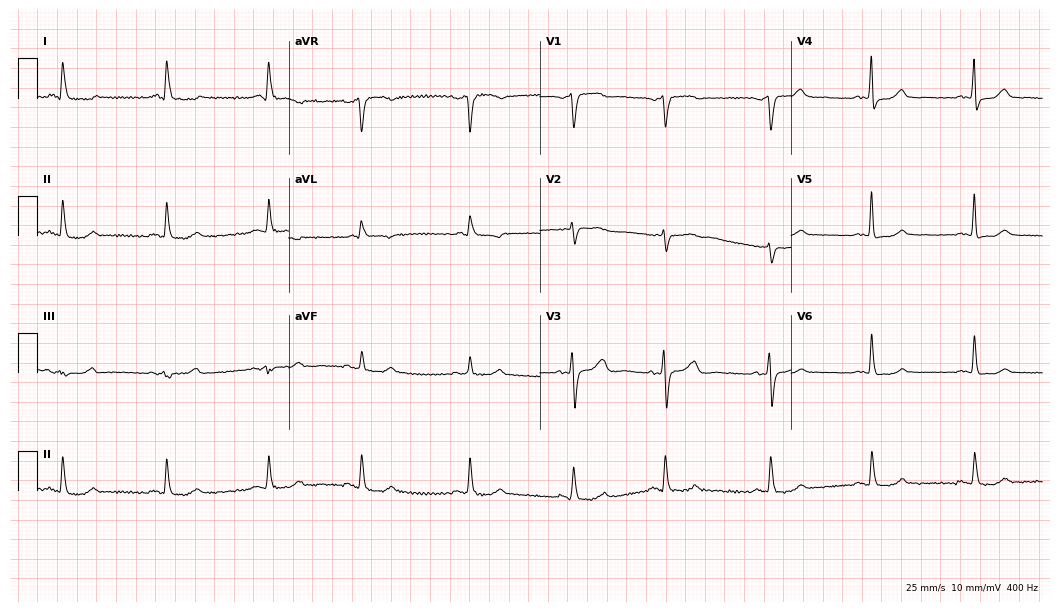
ECG (10.2-second recording at 400 Hz) — a 67-year-old woman. Screened for six findings — first-degree AV block, right bundle branch block (RBBB), left bundle branch block (LBBB), sinus bradycardia, atrial fibrillation (AF), sinus tachycardia — none is recorded.